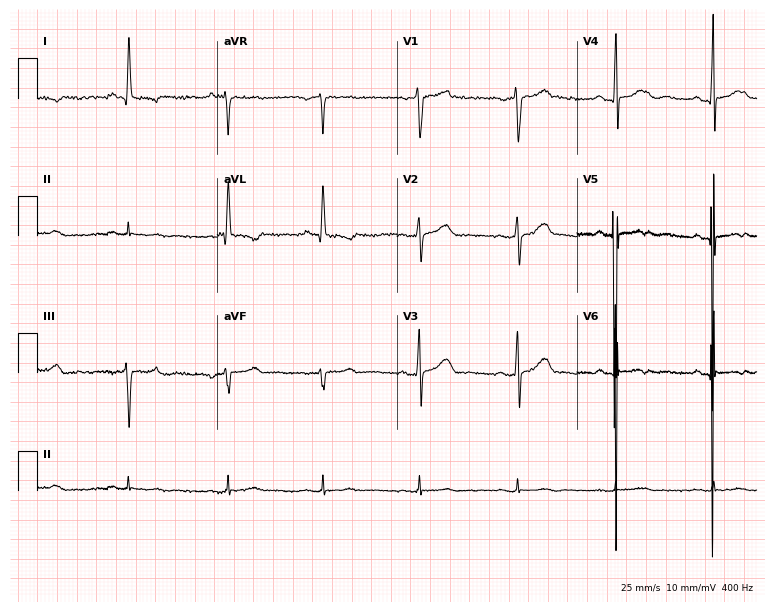
12-lead ECG (7.3-second recording at 400 Hz) from a 63-year-old female patient. Screened for six findings — first-degree AV block, right bundle branch block, left bundle branch block, sinus bradycardia, atrial fibrillation, sinus tachycardia — none is recorded. Other findings, if any, are not listed.